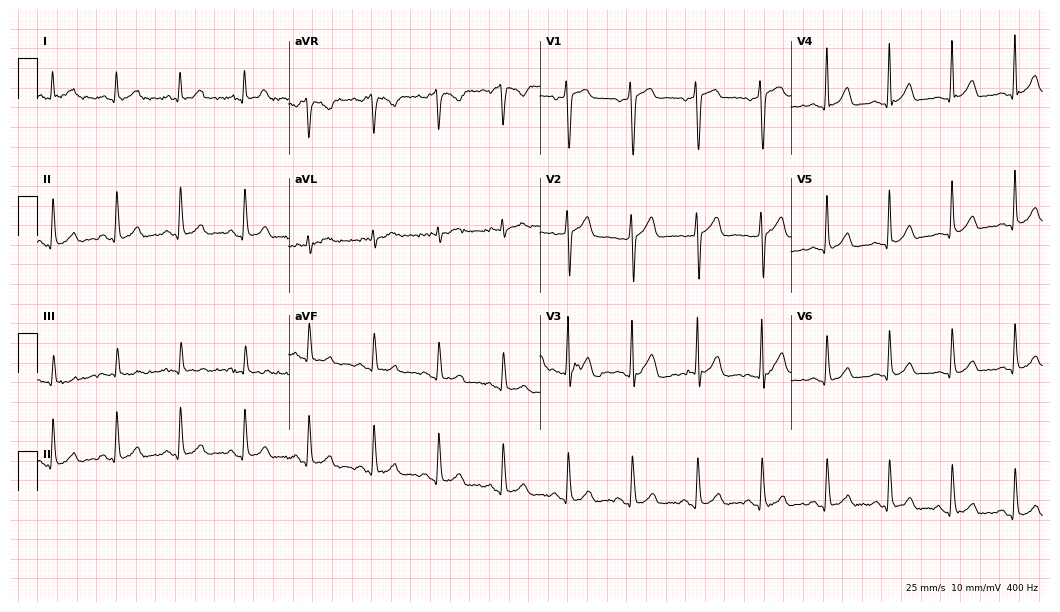
12-lead ECG (10.2-second recording at 400 Hz) from a 47-year-old male patient. Labelled as a normal ECG.